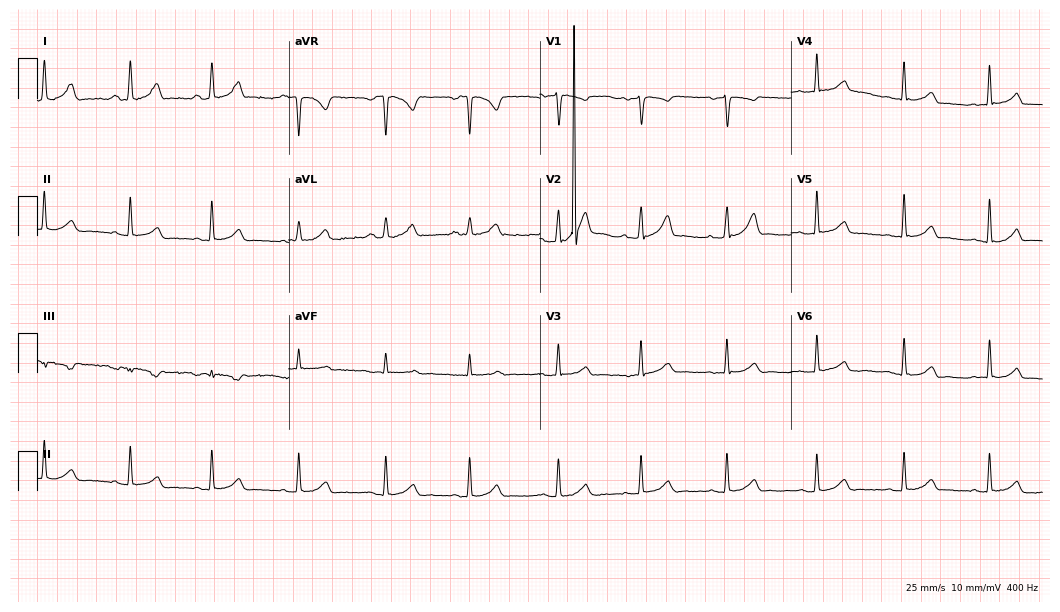
Electrocardiogram (10.2-second recording at 400 Hz), a 40-year-old woman. Of the six screened findings (first-degree AV block, right bundle branch block, left bundle branch block, sinus bradycardia, atrial fibrillation, sinus tachycardia), none is recorded. Findings outside these six are not listed.